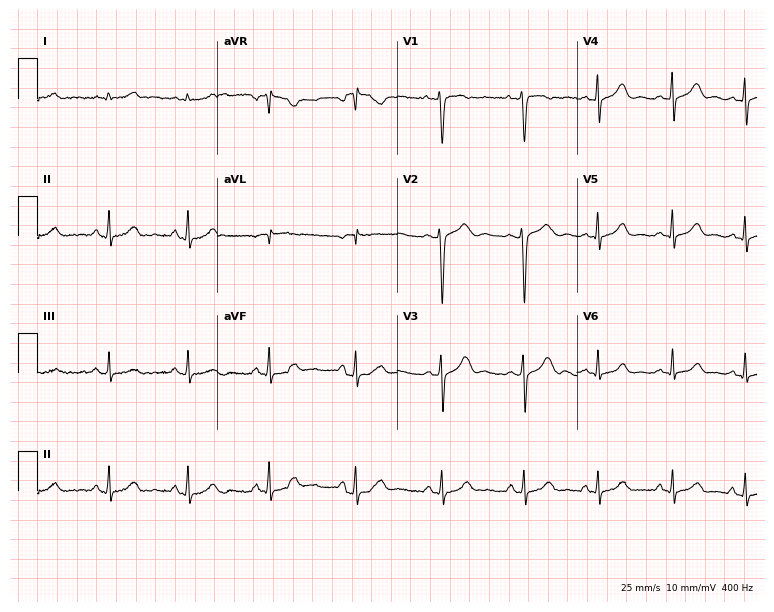
Electrocardiogram, a female, 19 years old. Overall reading on record: normal ECG.